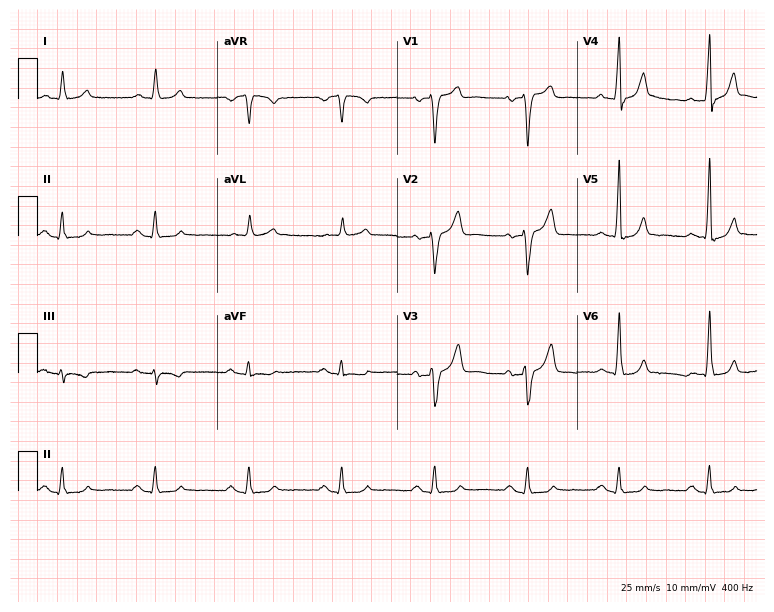
12-lead ECG (7.3-second recording at 400 Hz) from a male, 77 years old. Screened for six findings — first-degree AV block, right bundle branch block, left bundle branch block, sinus bradycardia, atrial fibrillation, sinus tachycardia — none is recorded. Other findings, if any, are not listed.